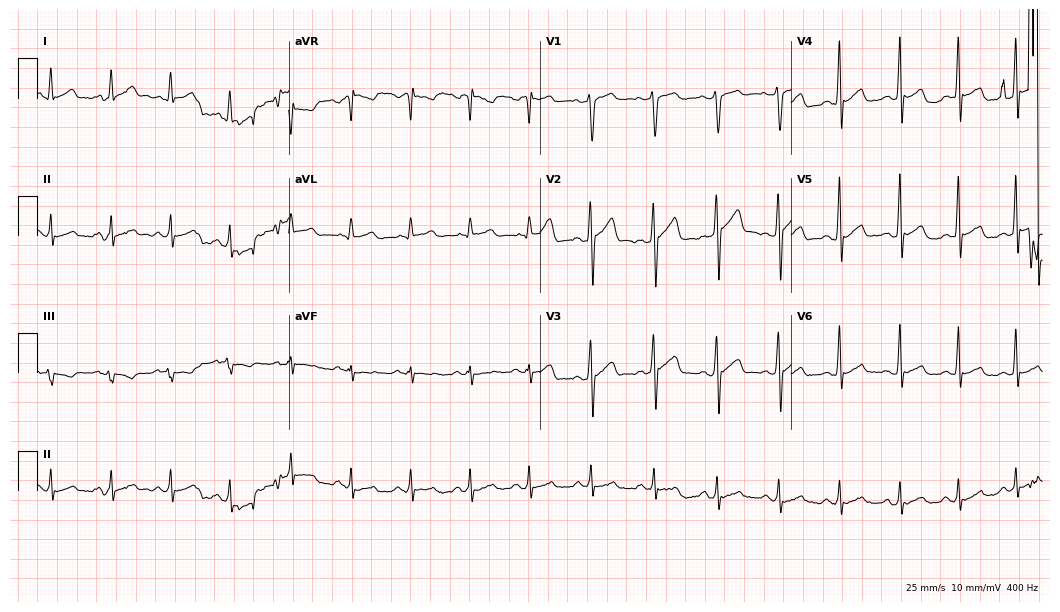
Electrocardiogram (10.2-second recording at 400 Hz), a male, 29 years old. Overall reading on record: normal ECG.